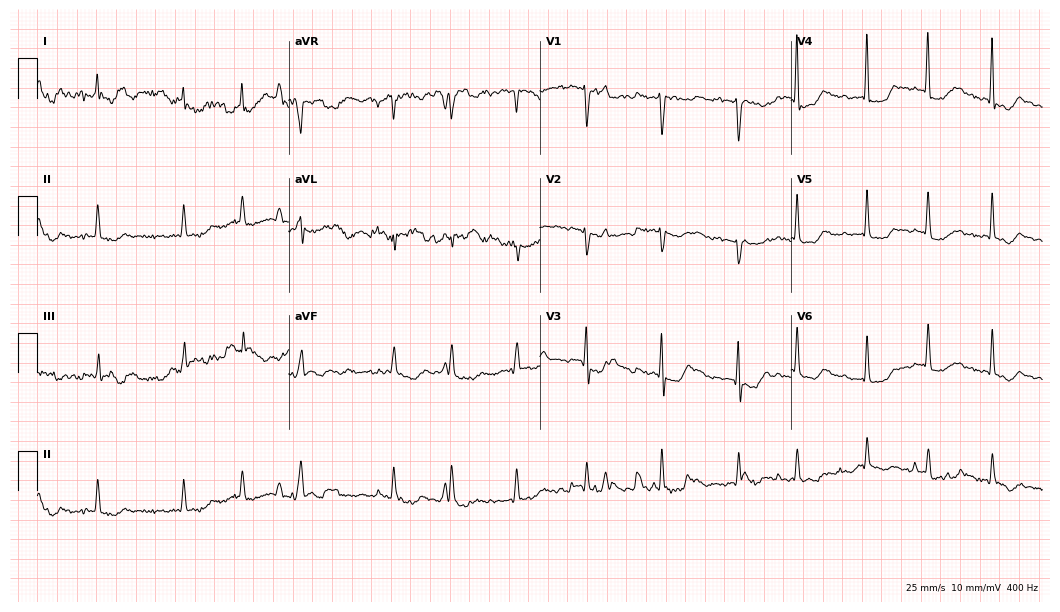
ECG — a 78-year-old female. Screened for six findings — first-degree AV block, right bundle branch block (RBBB), left bundle branch block (LBBB), sinus bradycardia, atrial fibrillation (AF), sinus tachycardia — none is recorded. Findings outside these six are not listed.